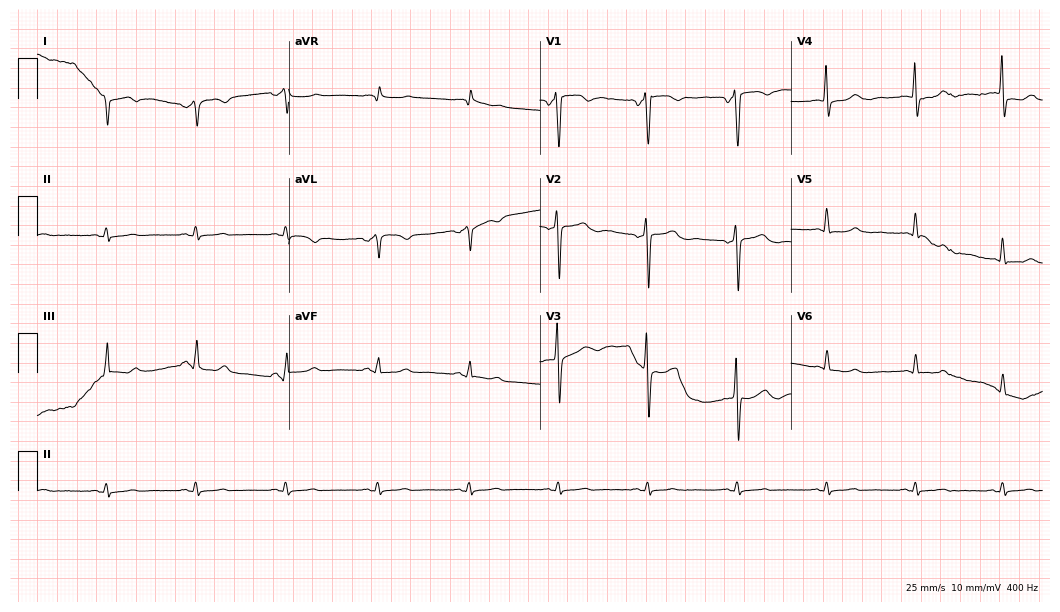
12-lead ECG (10.2-second recording at 400 Hz) from a male, 57 years old. Screened for six findings — first-degree AV block, right bundle branch block, left bundle branch block, sinus bradycardia, atrial fibrillation, sinus tachycardia — none is recorded. Other findings, if any, are not listed.